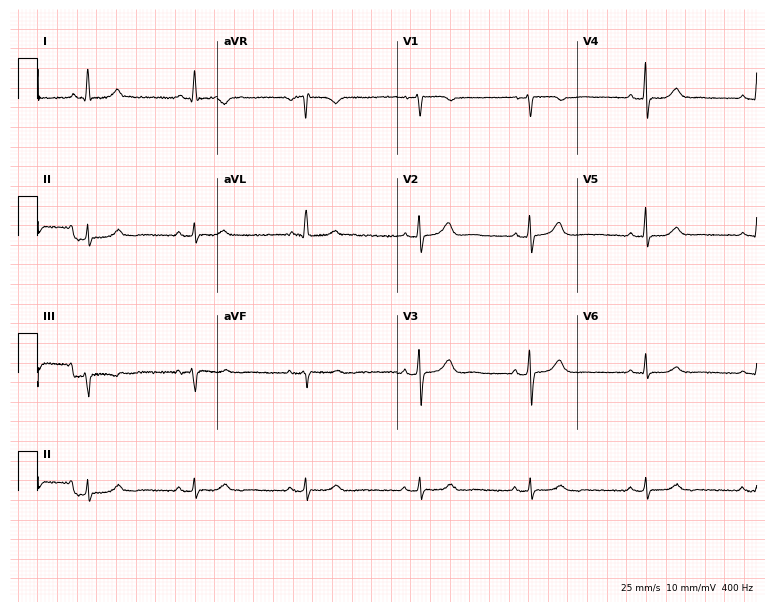
ECG (7.3-second recording at 400 Hz) — a 68-year-old female patient. Labelled as a normal ECG.